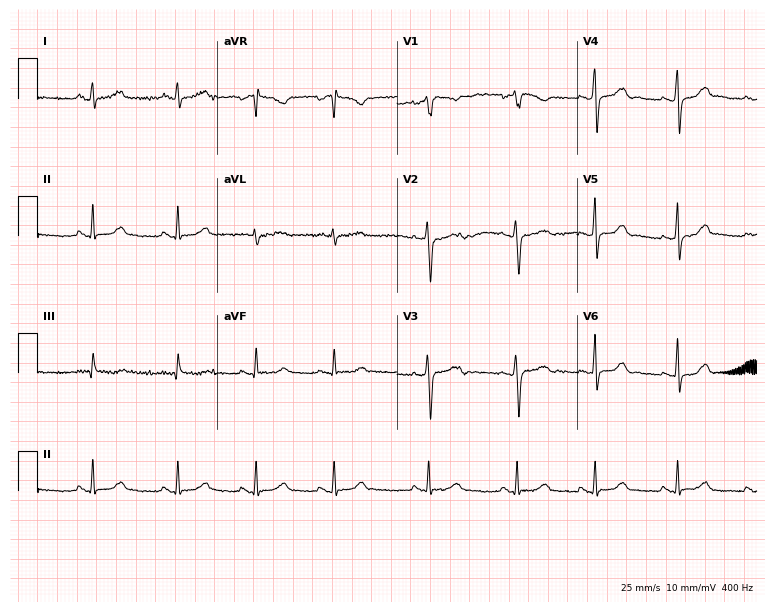
Electrocardiogram (7.3-second recording at 400 Hz), a female, 25 years old. Overall reading on record: normal ECG.